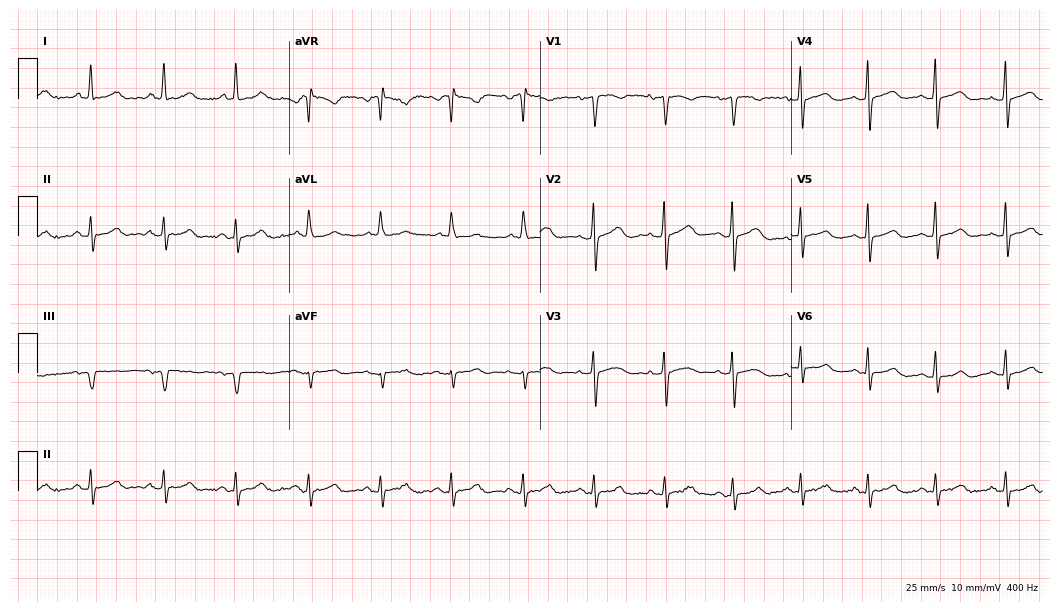
Standard 12-lead ECG recorded from a female, 63 years old. Read as a normal ECG.